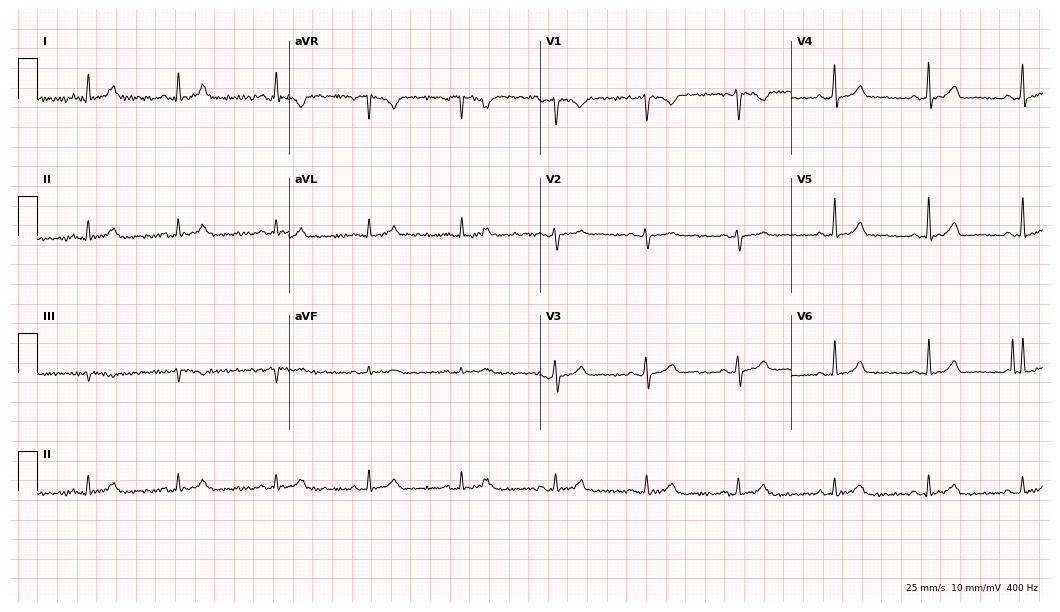
ECG (10.2-second recording at 400 Hz) — a 44-year-old female. Screened for six findings — first-degree AV block, right bundle branch block, left bundle branch block, sinus bradycardia, atrial fibrillation, sinus tachycardia — none is recorded. Findings outside these six are not listed.